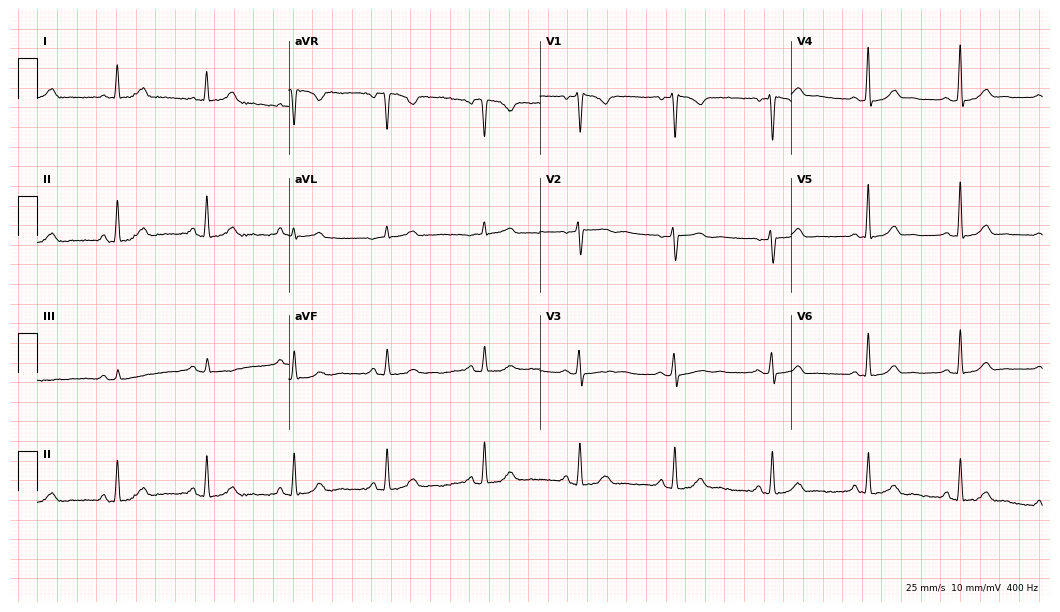
12-lead ECG from a 42-year-old woman. Labelled as a normal ECG.